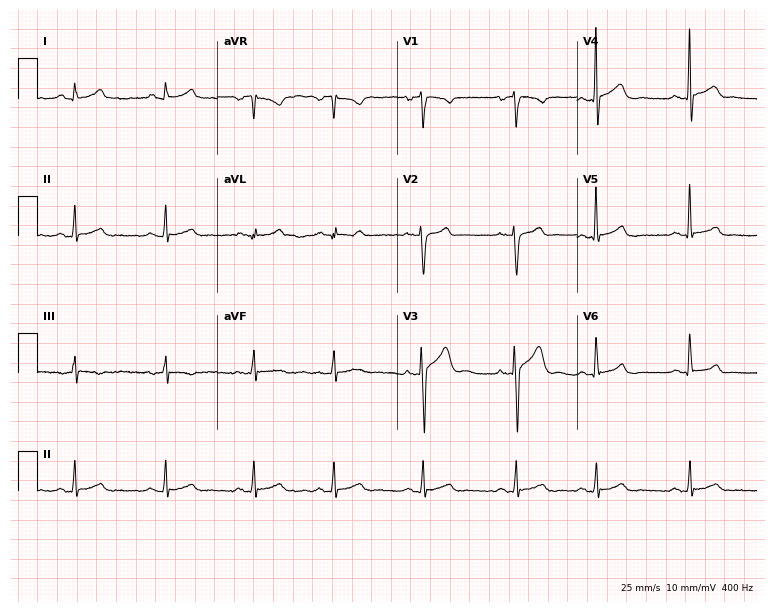
Electrocardiogram, a 25-year-old man. Overall reading on record: normal ECG.